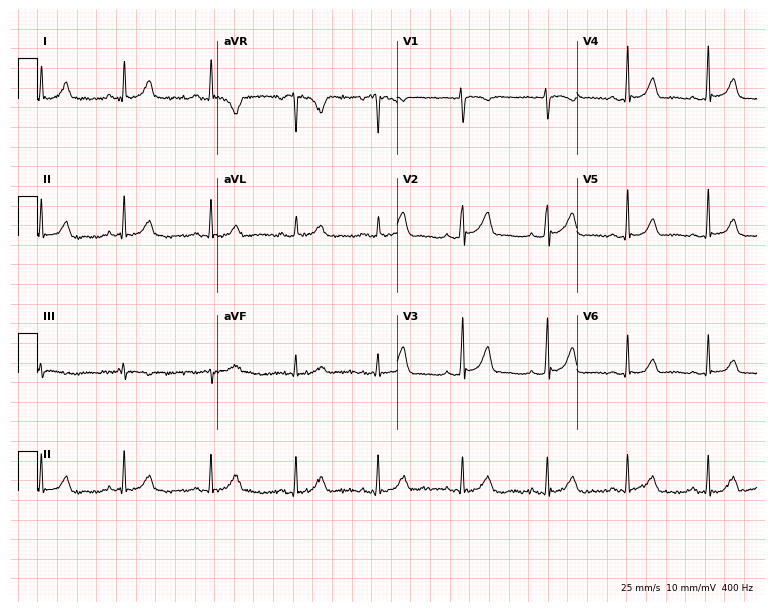
12-lead ECG from a female patient, 30 years old. Labelled as a normal ECG.